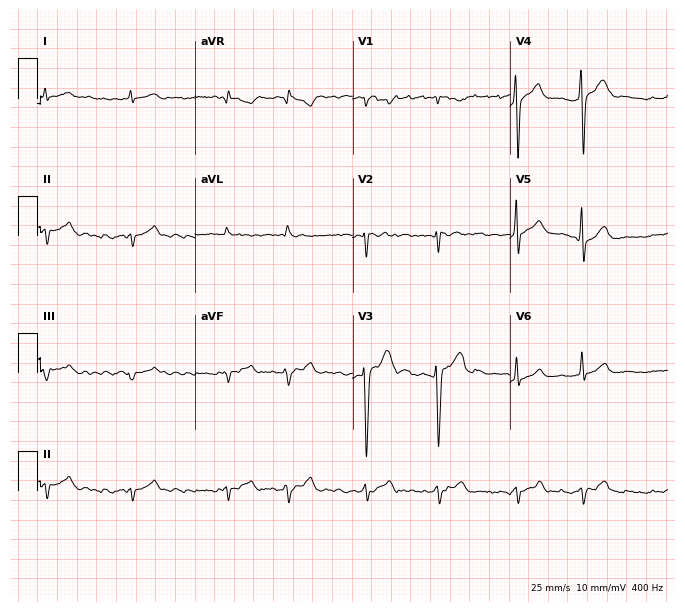
Standard 12-lead ECG recorded from a 21-year-old male. The tracing shows atrial fibrillation.